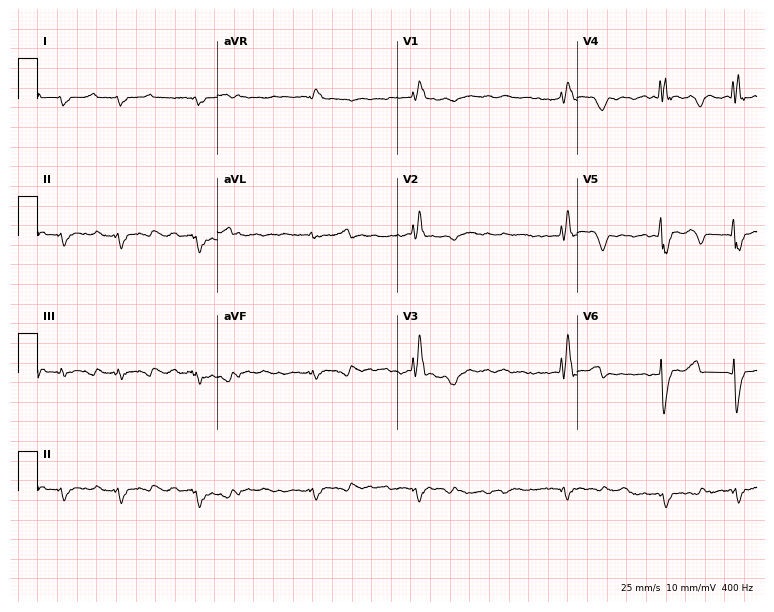
12-lead ECG from a male, 73 years old. Findings include right bundle branch block (RBBB), atrial fibrillation (AF).